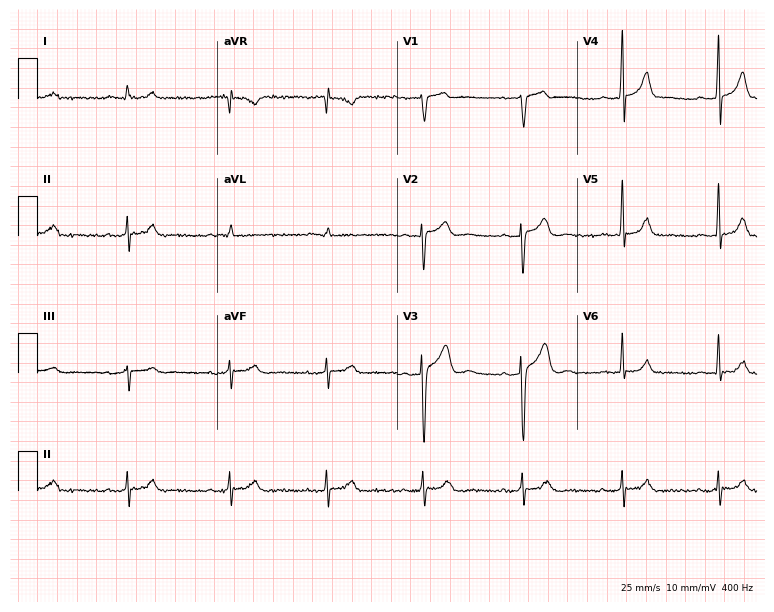
12-lead ECG from a male, 20 years old. Recorded interpretation: within normal limits.